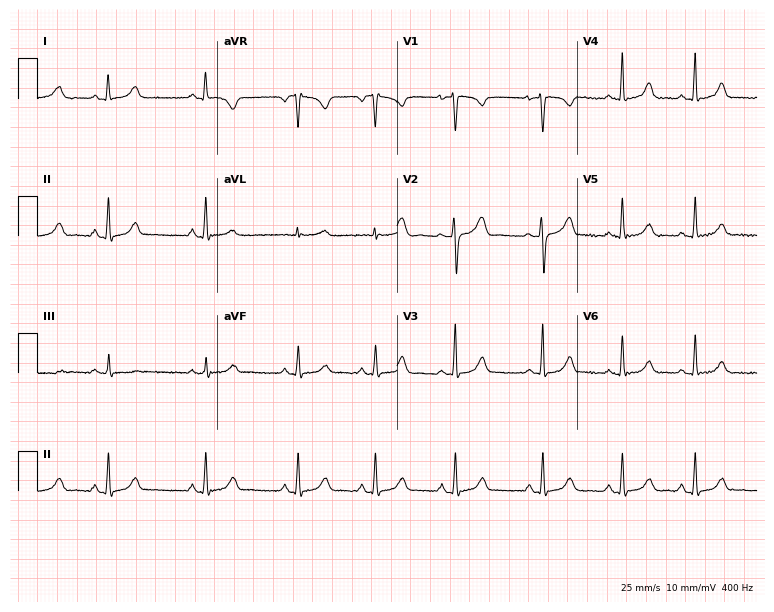
Resting 12-lead electrocardiogram. Patient: a female, 18 years old. Read as a normal ECG.